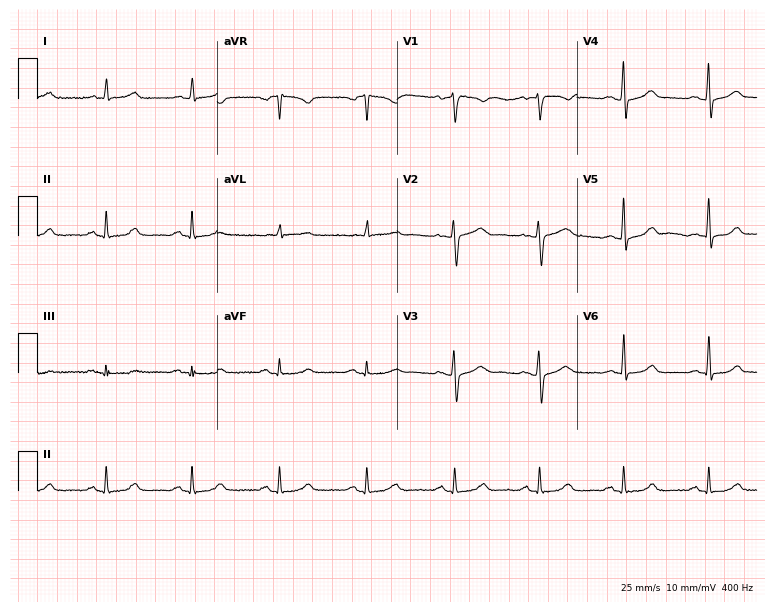
12-lead ECG from a 39-year-old female. Recorded interpretation: within normal limits.